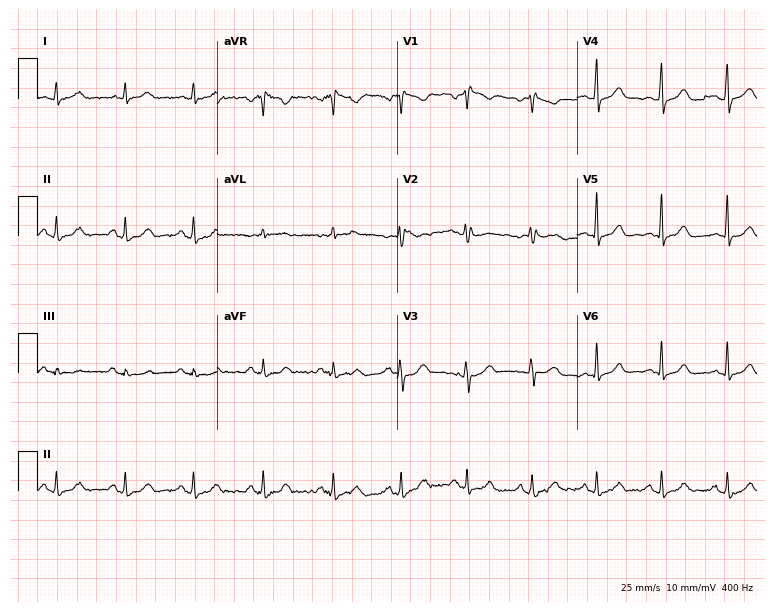
Resting 12-lead electrocardiogram. Patient: a female, 43 years old. Read as a normal ECG.